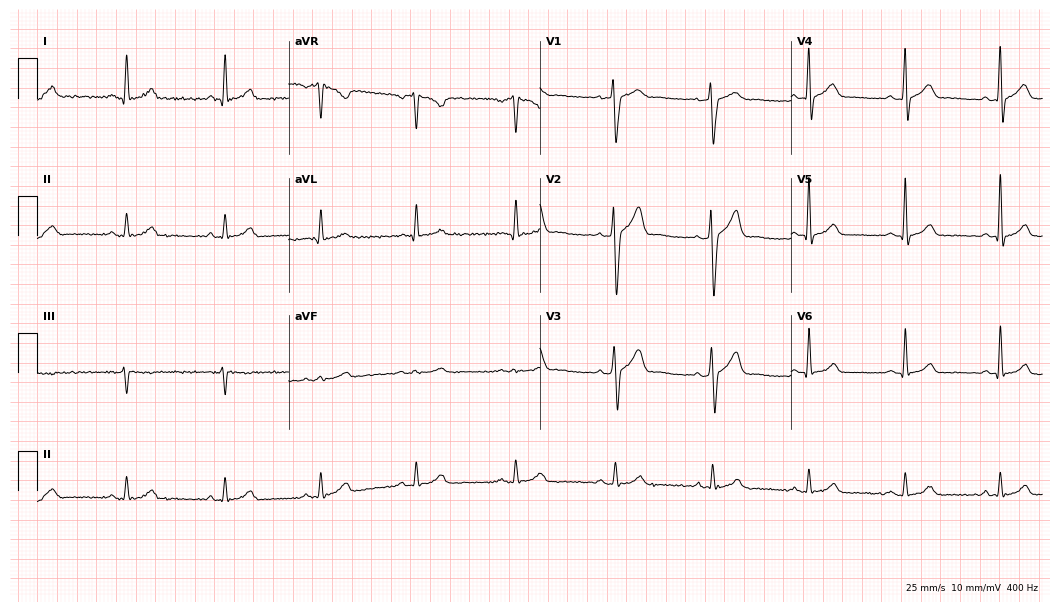
Resting 12-lead electrocardiogram. Patient: a male, 48 years old. Read as a normal ECG.